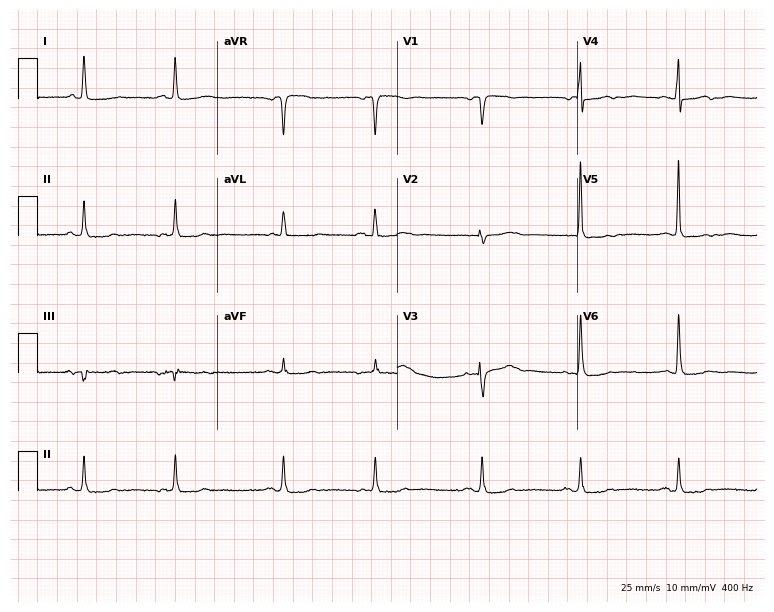
Resting 12-lead electrocardiogram (7.3-second recording at 400 Hz). Patient: a 78-year-old female. None of these six findings is recorded: first-degree AV block, right bundle branch block, left bundle branch block, sinus bradycardia, atrial fibrillation, sinus tachycardia.